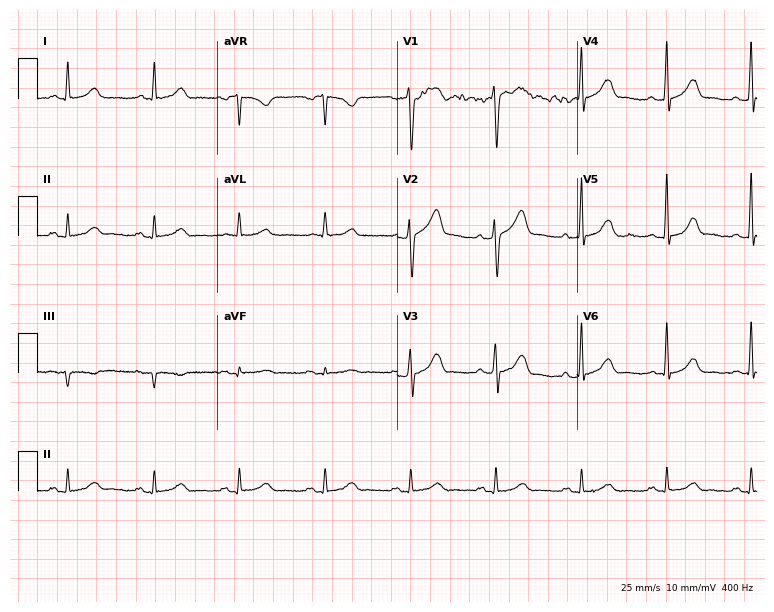
ECG (7.3-second recording at 400 Hz) — a male, 62 years old. Labelled as a normal ECG.